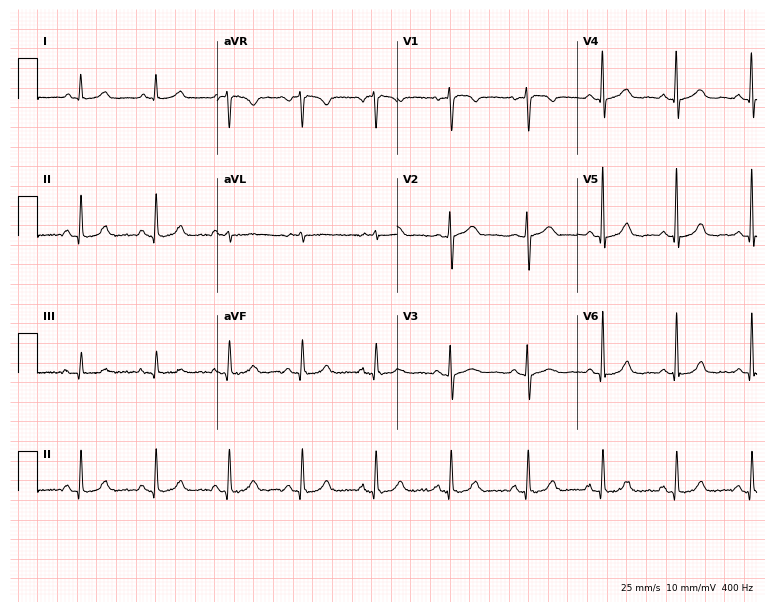
Standard 12-lead ECG recorded from a 58-year-old female patient. Read as a normal ECG.